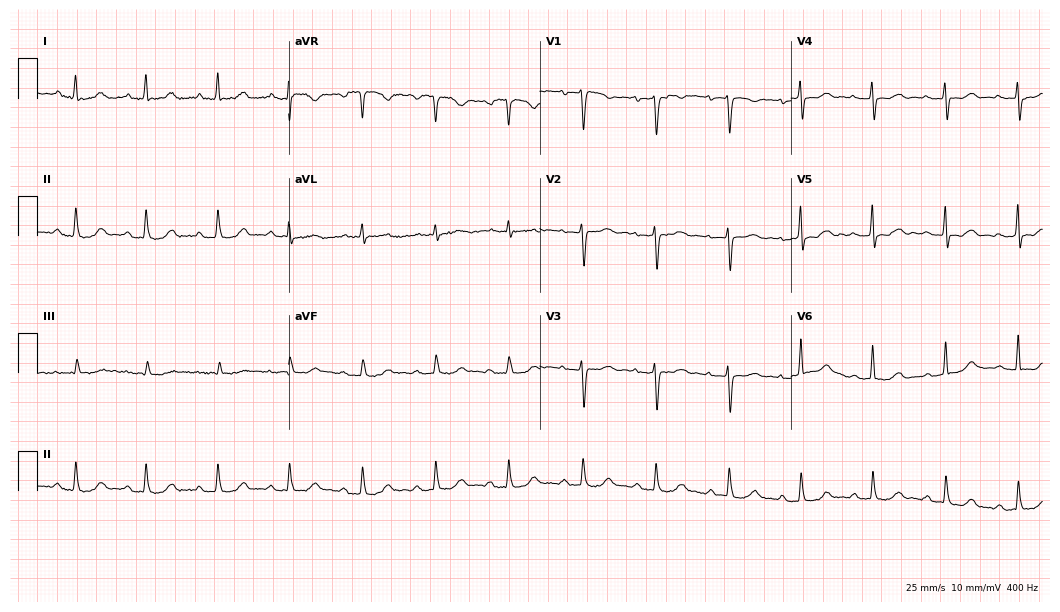
Resting 12-lead electrocardiogram (10.2-second recording at 400 Hz). Patient: a 60-year-old female. Read as a normal ECG.